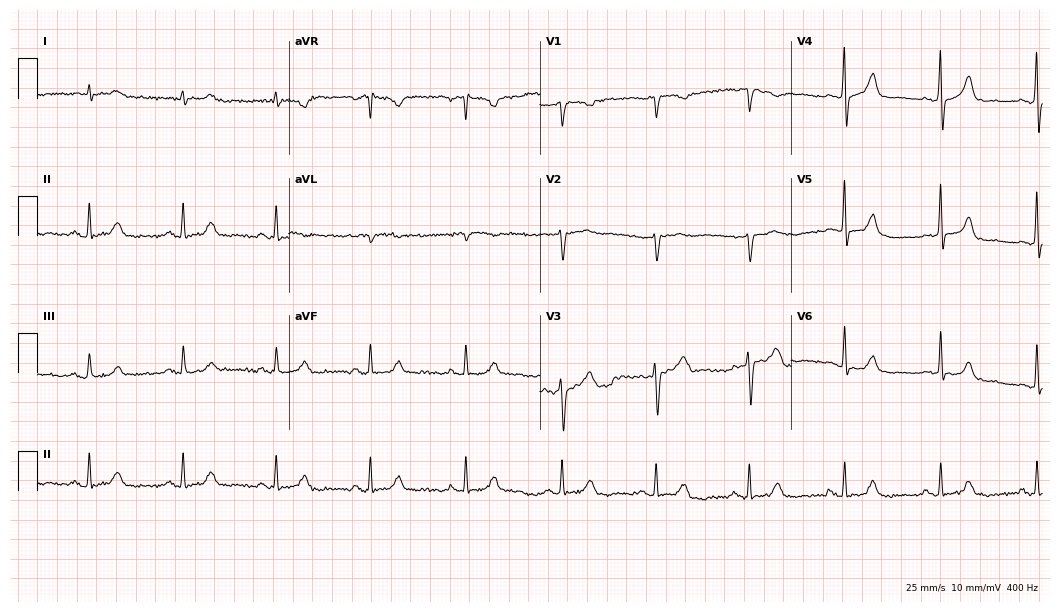
12-lead ECG from a male patient, 75 years old (10.2-second recording at 400 Hz). Recorded interpretation: within normal limits.